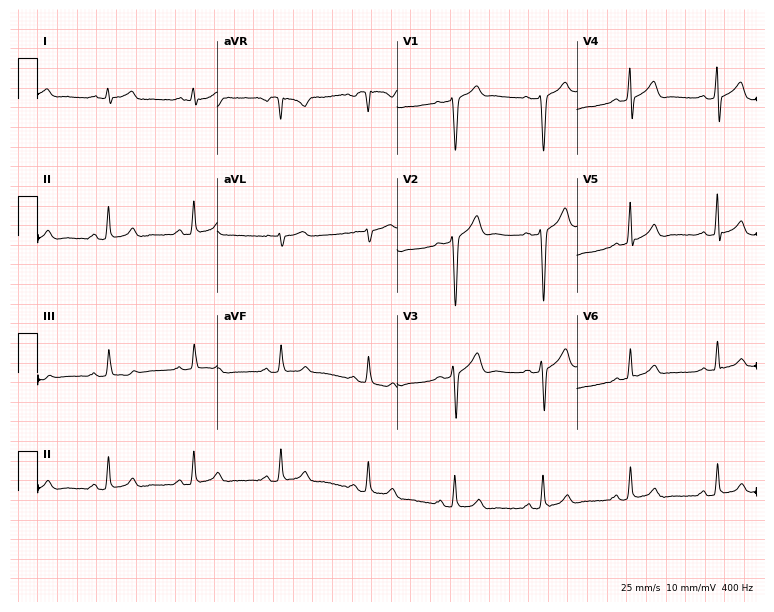
ECG (7.3-second recording at 400 Hz) — a 42-year-old male patient. Screened for six findings — first-degree AV block, right bundle branch block (RBBB), left bundle branch block (LBBB), sinus bradycardia, atrial fibrillation (AF), sinus tachycardia — none is recorded. Other findings, if any, are not listed.